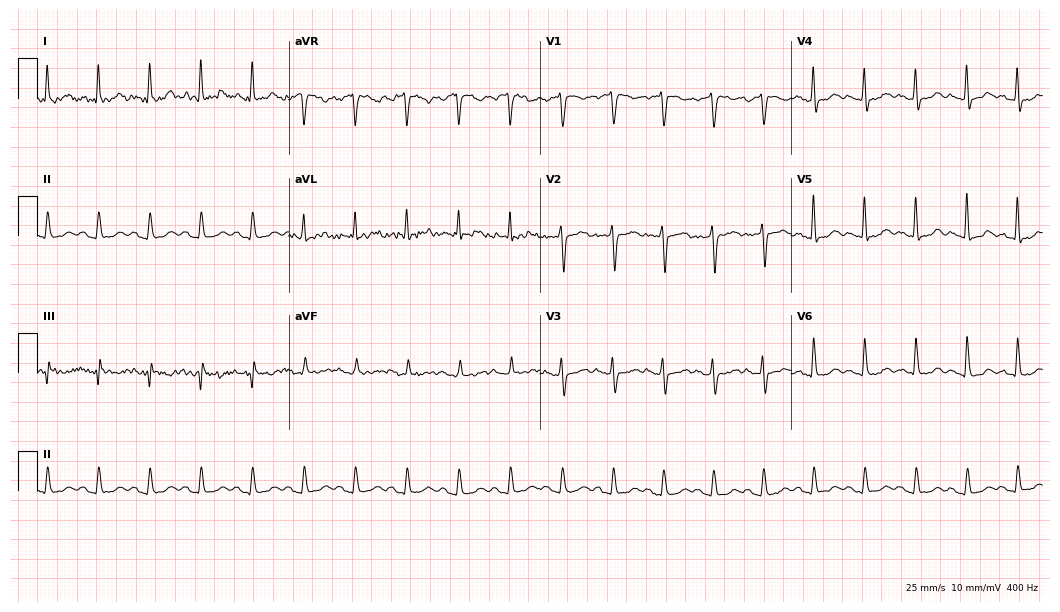
12-lead ECG from a 62-year-old woman. Shows sinus tachycardia (a sinus rate of 100 beats per minute or more).